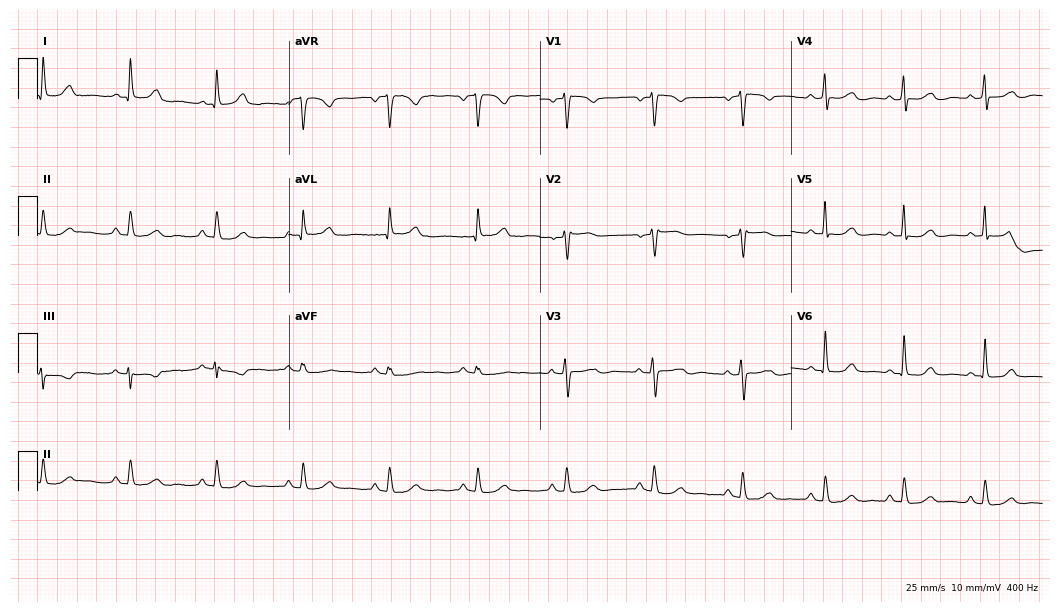
12-lead ECG from a female patient, 79 years old (10.2-second recording at 400 Hz). Recorded interpretation: within normal limits.